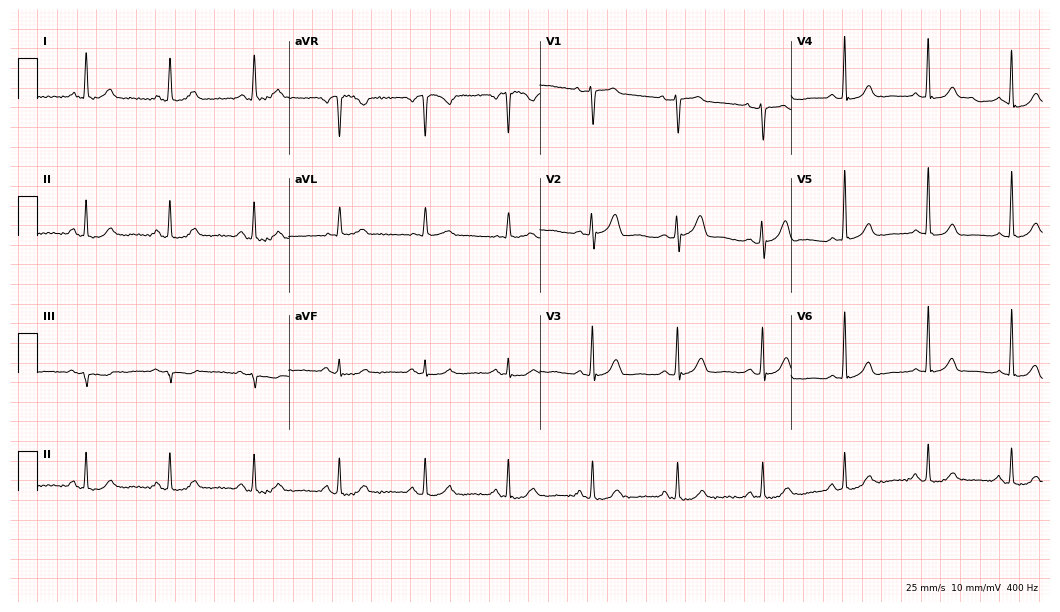
12-lead ECG (10.2-second recording at 400 Hz) from a female, 69 years old. Screened for six findings — first-degree AV block, right bundle branch block, left bundle branch block, sinus bradycardia, atrial fibrillation, sinus tachycardia — none is recorded. Other findings, if any, are not listed.